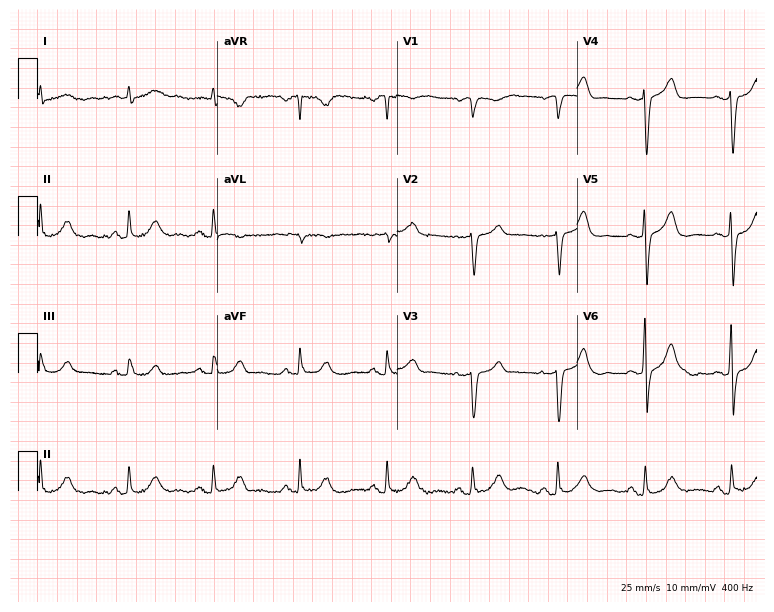
12-lead ECG from a 77-year-old man. Screened for six findings — first-degree AV block, right bundle branch block, left bundle branch block, sinus bradycardia, atrial fibrillation, sinus tachycardia — none is recorded.